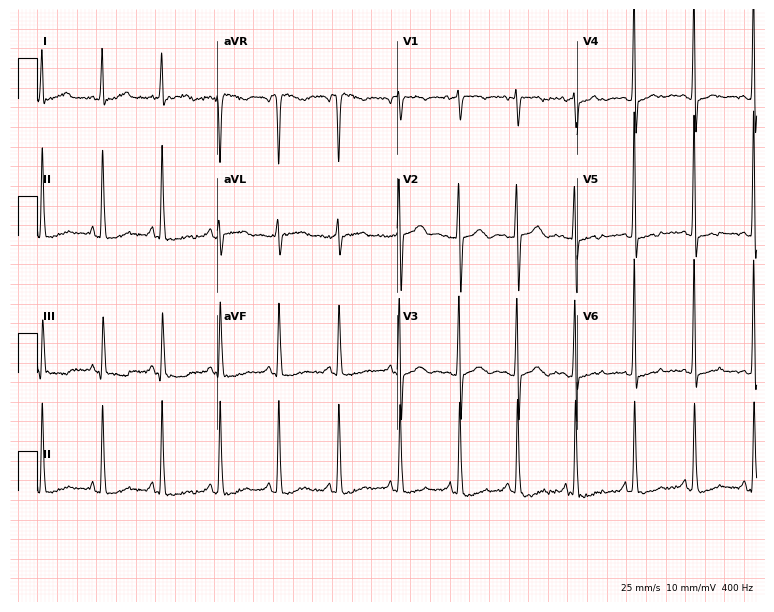
12-lead ECG from a female patient, 69 years old. Screened for six findings — first-degree AV block, right bundle branch block, left bundle branch block, sinus bradycardia, atrial fibrillation, sinus tachycardia — none is recorded. Findings outside these six are not listed.